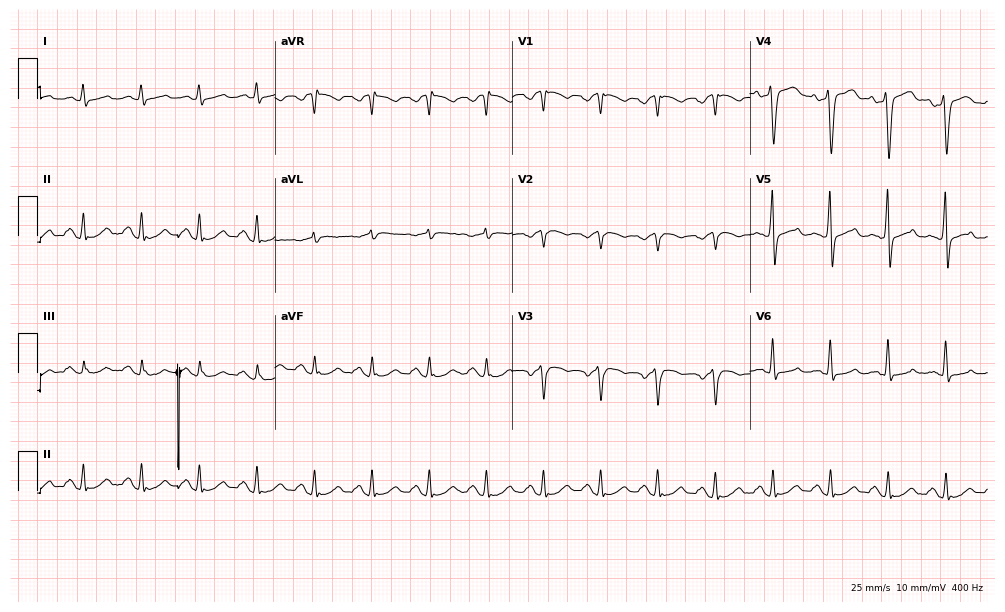
Standard 12-lead ECG recorded from a 64-year-old male (9.7-second recording at 400 Hz). None of these six findings is recorded: first-degree AV block, right bundle branch block, left bundle branch block, sinus bradycardia, atrial fibrillation, sinus tachycardia. Only these six findings were labelled.